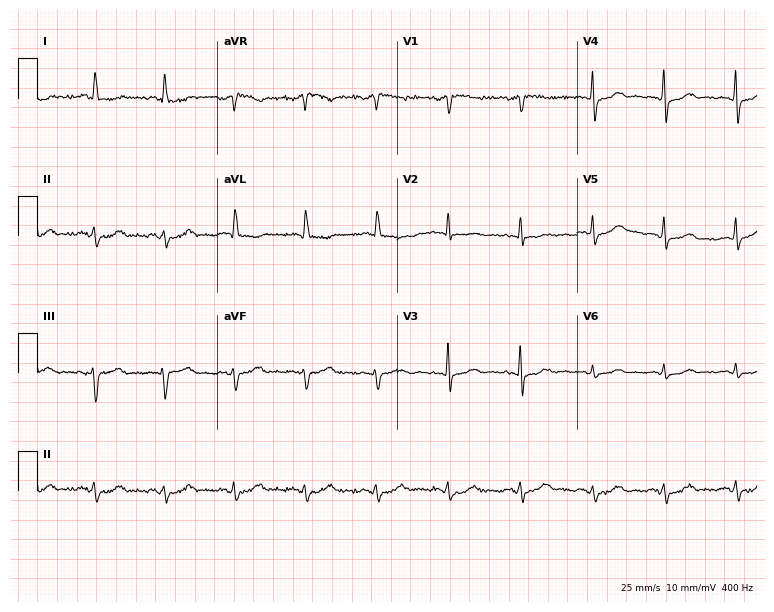
Resting 12-lead electrocardiogram. Patient: a 78-year-old woman. None of these six findings is recorded: first-degree AV block, right bundle branch block, left bundle branch block, sinus bradycardia, atrial fibrillation, sinus tachycardia. Only these six findings were labelled.